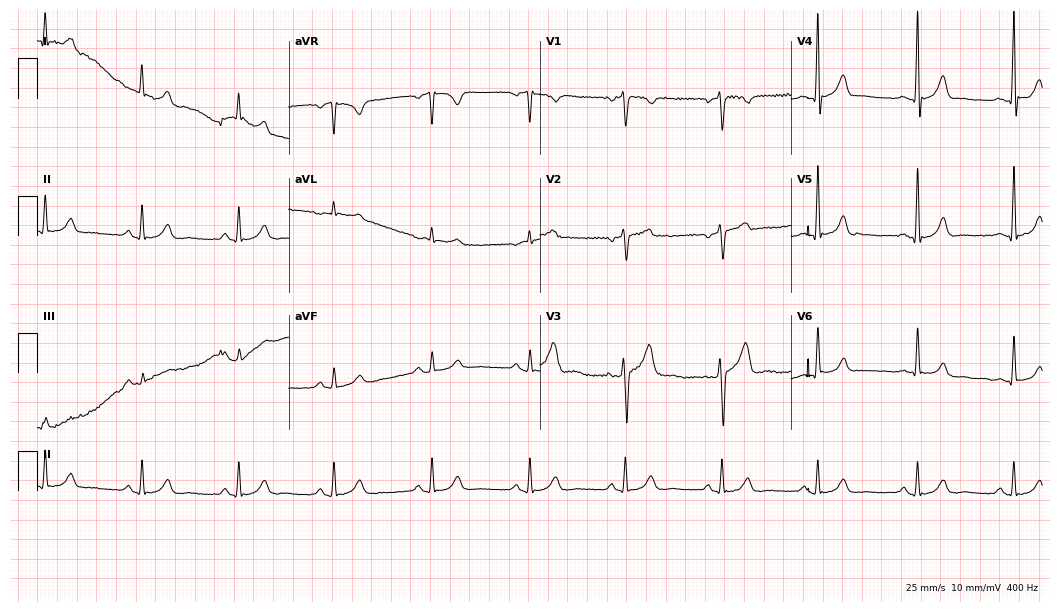
Resting 12-lead electrocardiogram. Patient: a man, 44 years old. Read as a normal ECG.